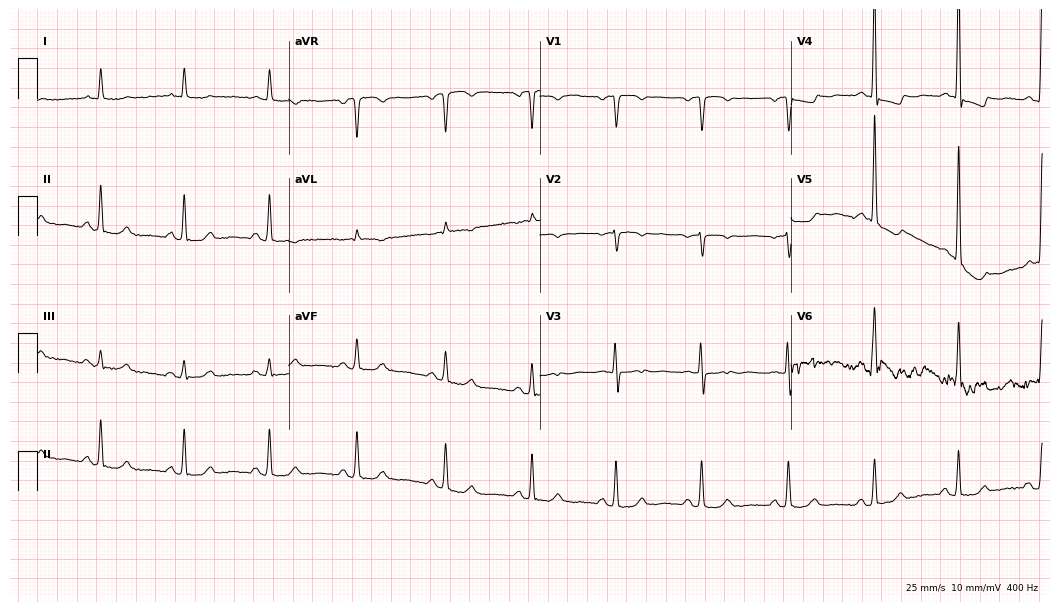
Standard 12-lead ECG recorded from a female patient, 74 years old. None of these six findings is recorded: first-degree AV block, right bundle branch block (RBBB), left bundle branch block (LBBB), sinus bradycardia, atrial fibrillation (AF), sinus tachycardia.